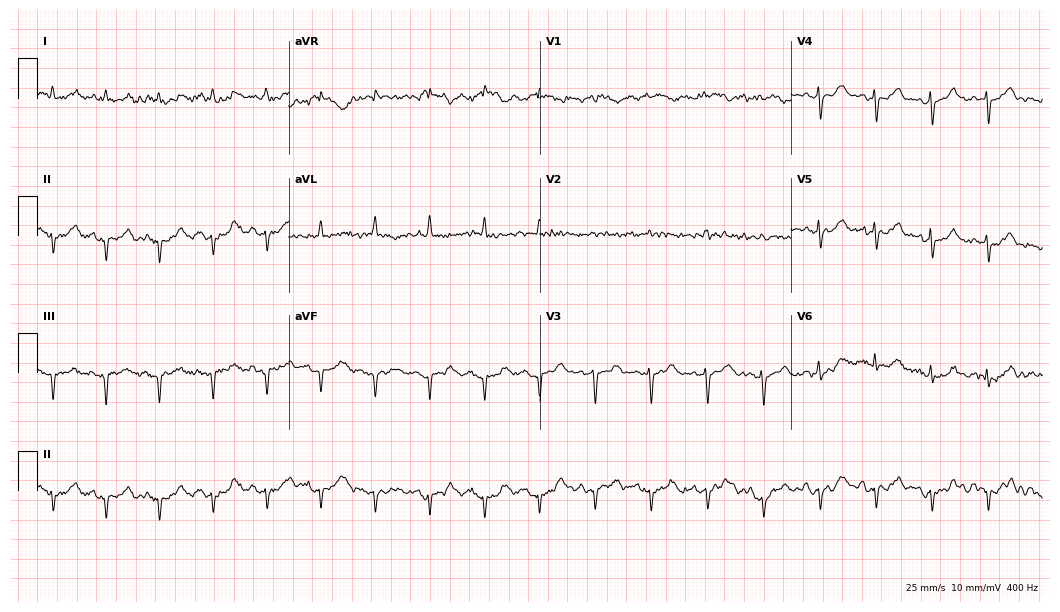
ECG (10.2-second recording at 400 Hz) — a female patient, 83 years old. Screened for six findings — first-degree AV block, right bundle branch block, left bundle branch block, sinus bradycardia, atrial fibrillation, sinus tachycardia — none is recorded.